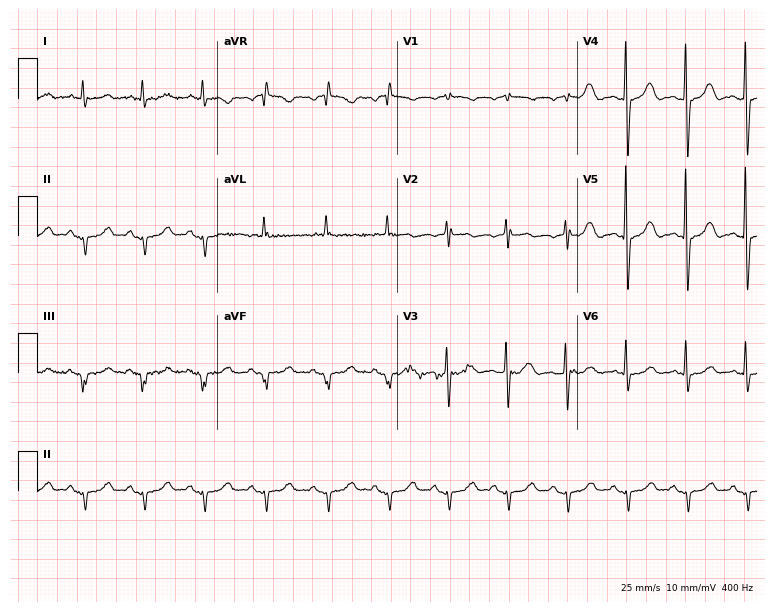
Electrocardiogram (7.3-second recording at 400 Hz), a 79-year-old female. Of the six screened findings (first-degree AV block, right bundle branch block, left bundle branch block, sinus bradycardia, atrial fibrillation, sinus tachycardia), none is recorded.